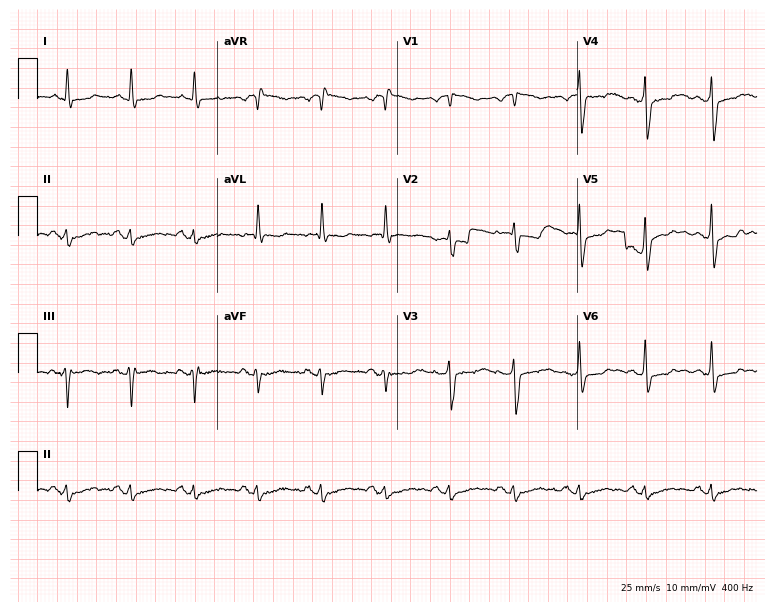
Resting 12-lead electrocardiogram (7.3-second recording at 400 Hz). Patient: a man, 69 years old. None of these six findings is recorded: first-degree AV block, right bundle branch block (RBBB), left bundle branch block (LBBB), sinus bradycardia, atrial fibrillation (AF), sinus tachycardia.